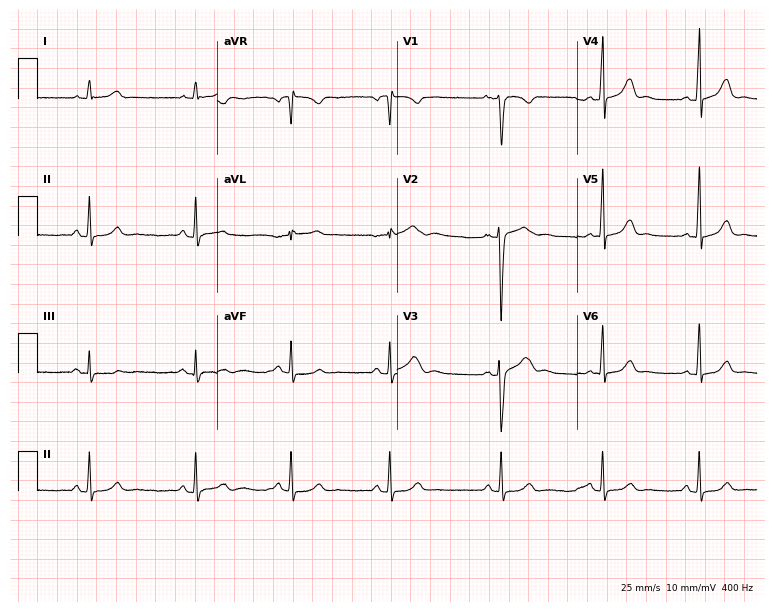
12-lead ECG from a female patient, 25 years old. Recorded interpretation: within normal limits.